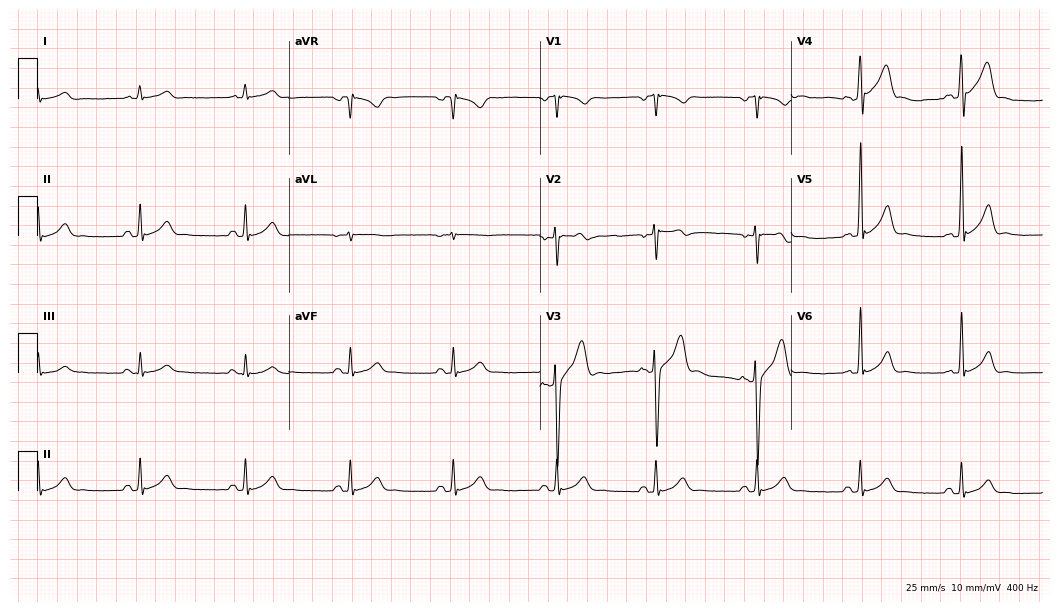
ECG — a man, 36 years old. Labelled as a normal ECG.